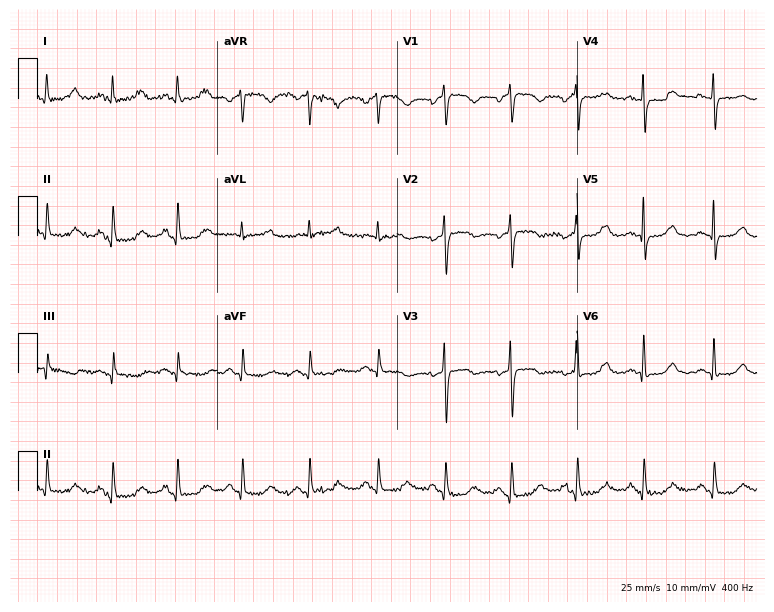
12-lead ECG from a woman, 63 years old. No first-degree AV block, right bundle branch block, left bundle branch block, sinus bradycardia, atrial fibrillation or sinus tachycardia recorded for this tracing.